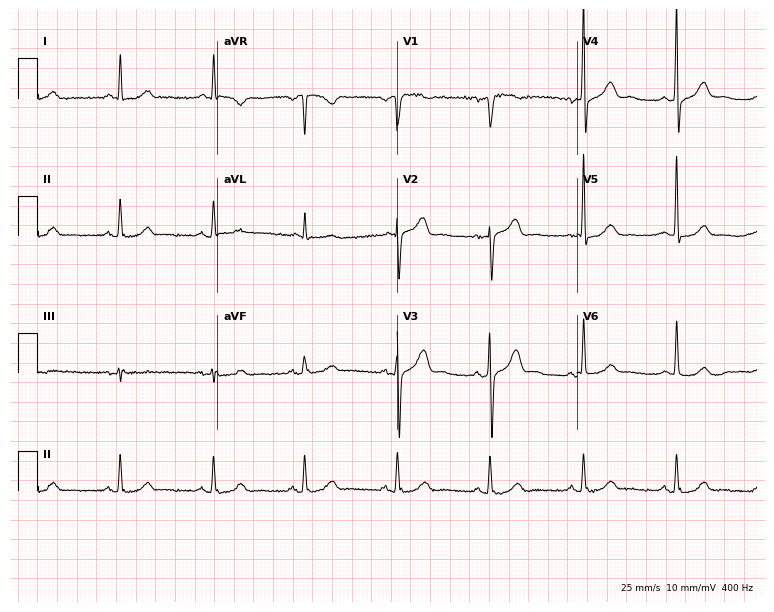
Resting 12-lead electrocardiogram. Patient: a male, 62 years old. Read as a normal ECG.